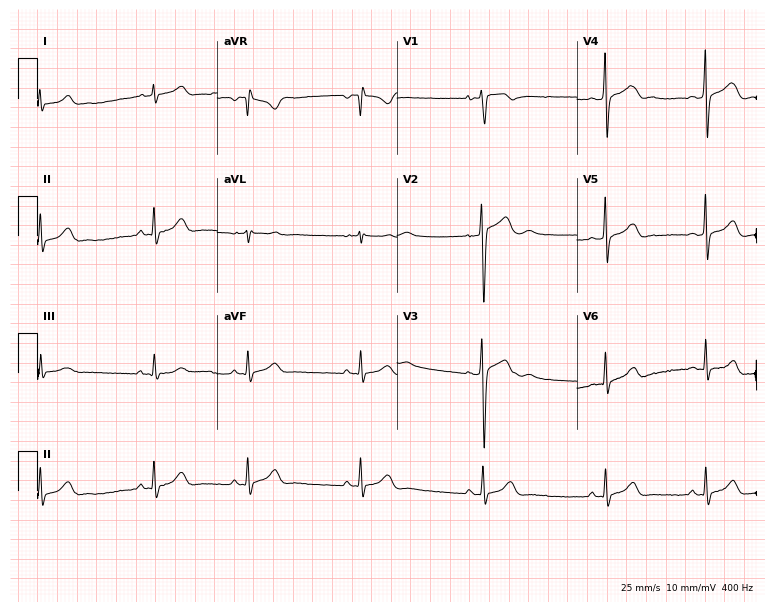
ECG (7.3-second recording at 400 Hz) — a 19-year-old male. Screened for six findings — first-degree AV block, right bundle branch block (RBBB), left bundle branch block (LBBB), sinus bradycardia, atrial fibrillation (AF), sinus tachycardia — none is recorded. Other findings, if any, are not listed.